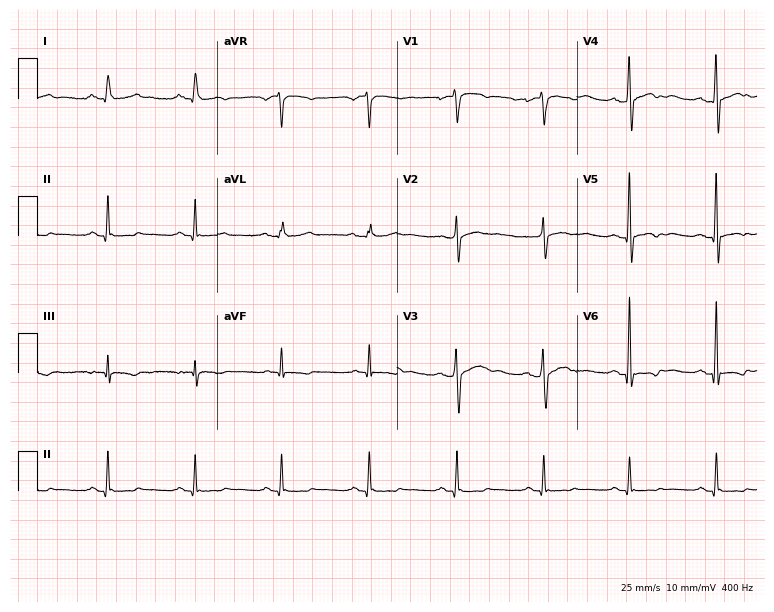
Resting 12-lead electrocardiogram (7.3-second recording at 400 Hz). Patient: a male, 76 years old. None of these six findings is recorded: first-degree AV block, right bundle branch block (RBBB), left bundle branch block (LBBB), sinus bradycardia, atrial fibrillation (AF), sinus tachycardia.